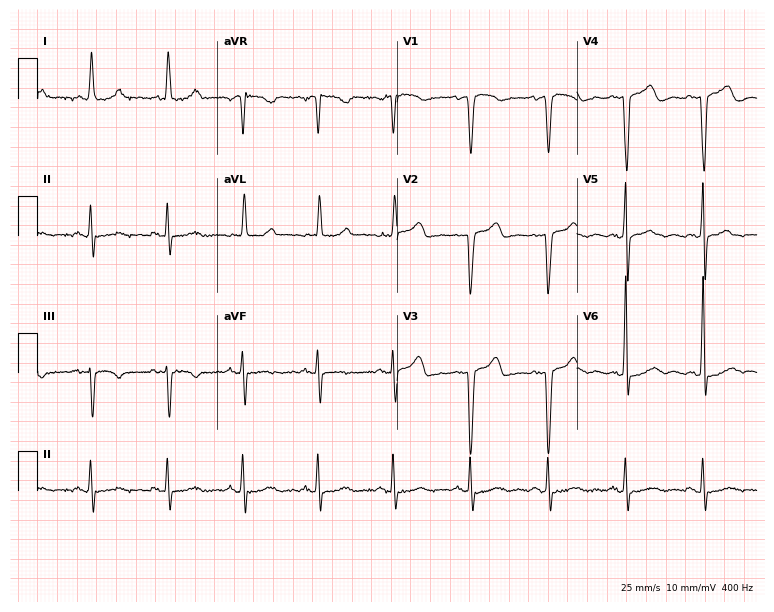
Resting 12-lead electrocardiogram. Patient: a 73-year-old female. None of these six findings is recorded: first-degree AV block, right bundle branch block, left bundle branch block, sinus bradycardia, atrial fibrillation, sinus tachycardia. Other findings, if any, are not listed.